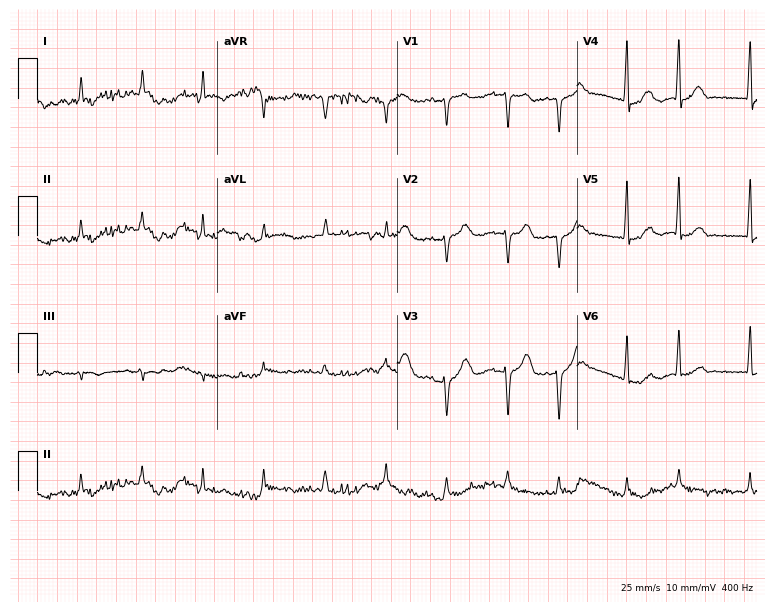
Electrocardiogram (7.3-second recording at 400 Hz), a woman, 85 years old. Of the six screened findings (first-degree AV block, right bundle branch block, left bundle branch block, sinus bradycardia, atrial fibrillation, sinus tachycardia), none is recorded.